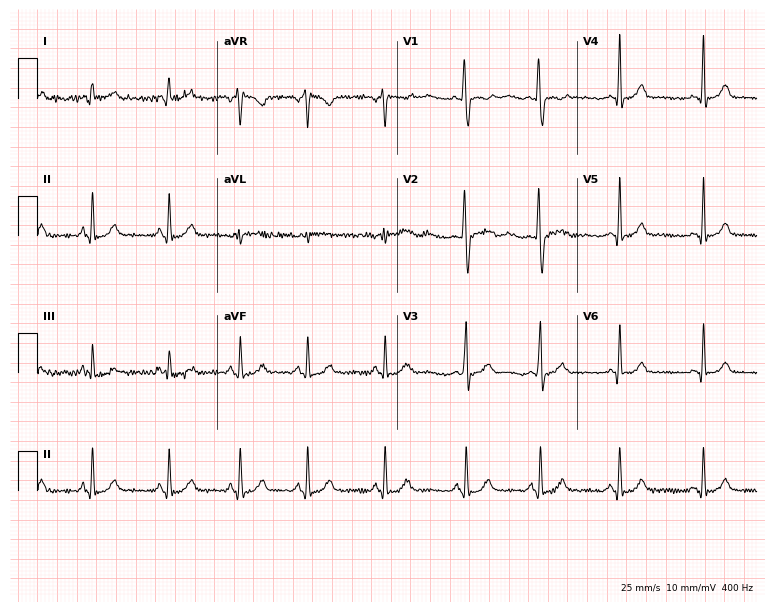
Electrocardiogram (7.3-second recording at 400 Hz), a 32-year-old female. Overall reading on record: normal ECG.